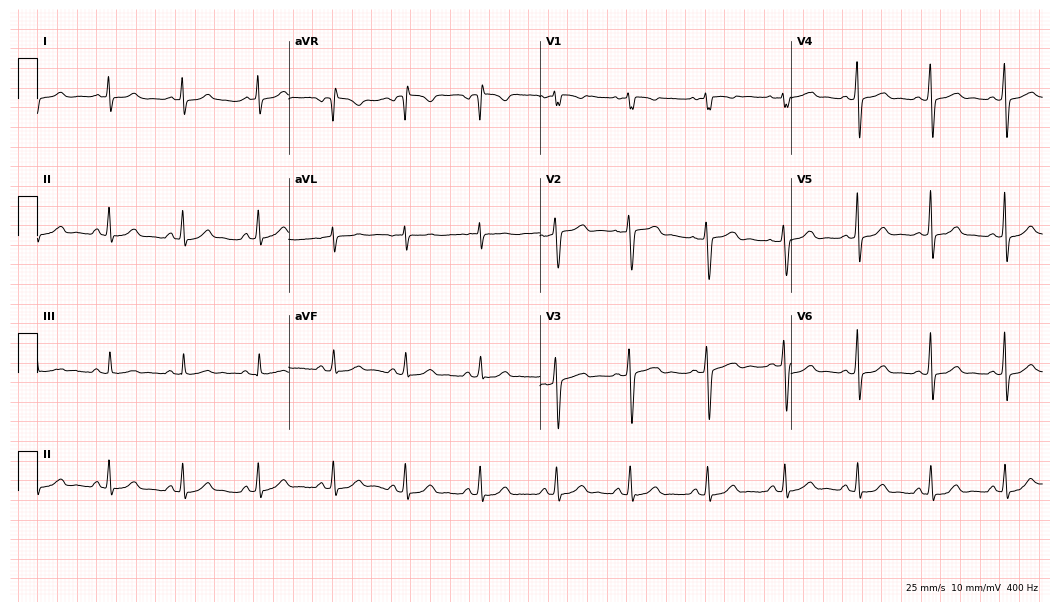
12-lead ECG (10.2-second recording at 400 Hz) from a 29-year-old female patient. Labelled as a normal ECG.